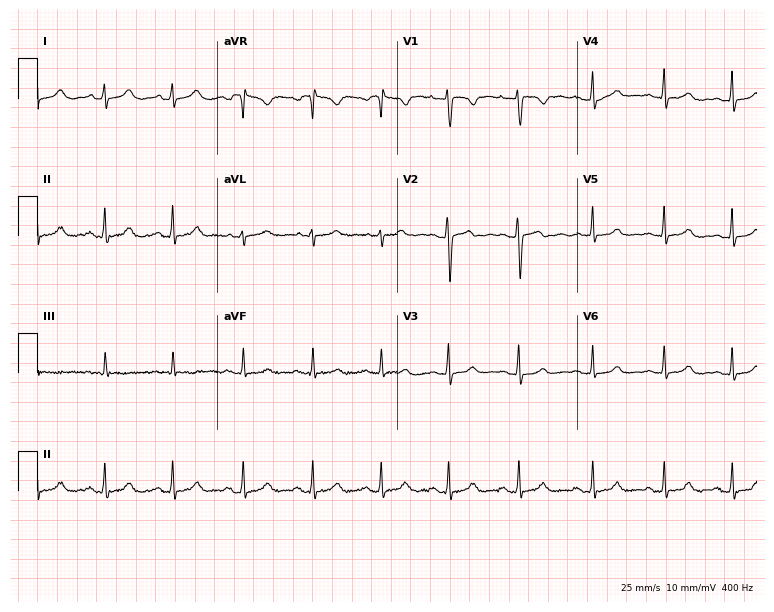
Electrocardiogram, a 23-year-old female patient. Of the six screened findings (first-degree AV block, right bundle branch block, left bundle branch block, sinus bradycardia, atrial fibrillation, sinus tachycardia), none is recorded.